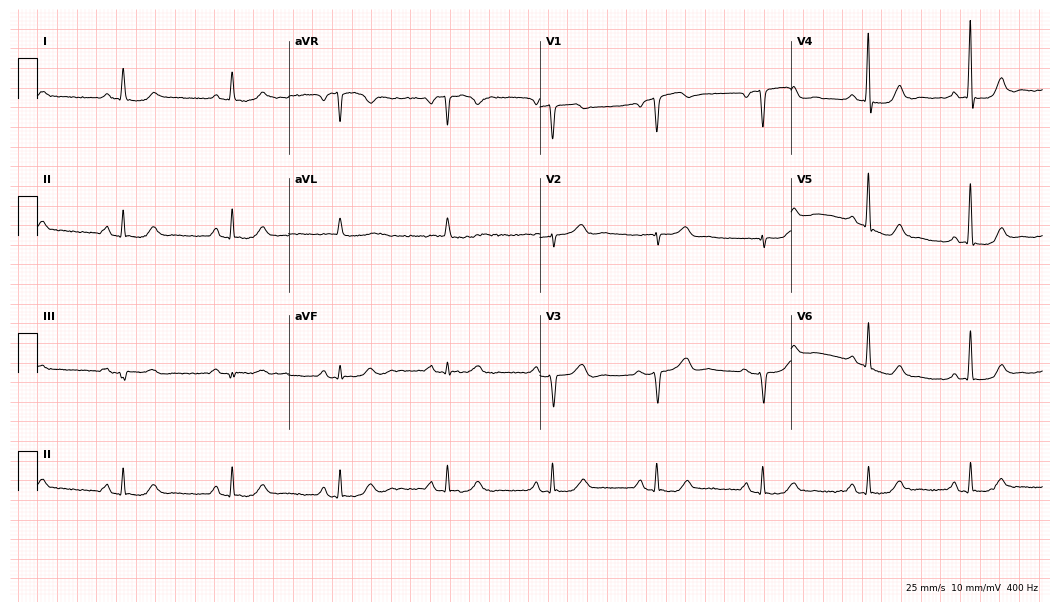
Resting 12-lead electrocardiogram (10.2-second recording at 400 Hz). Patient: a 76-year-old woman. Read as a normal ECG.